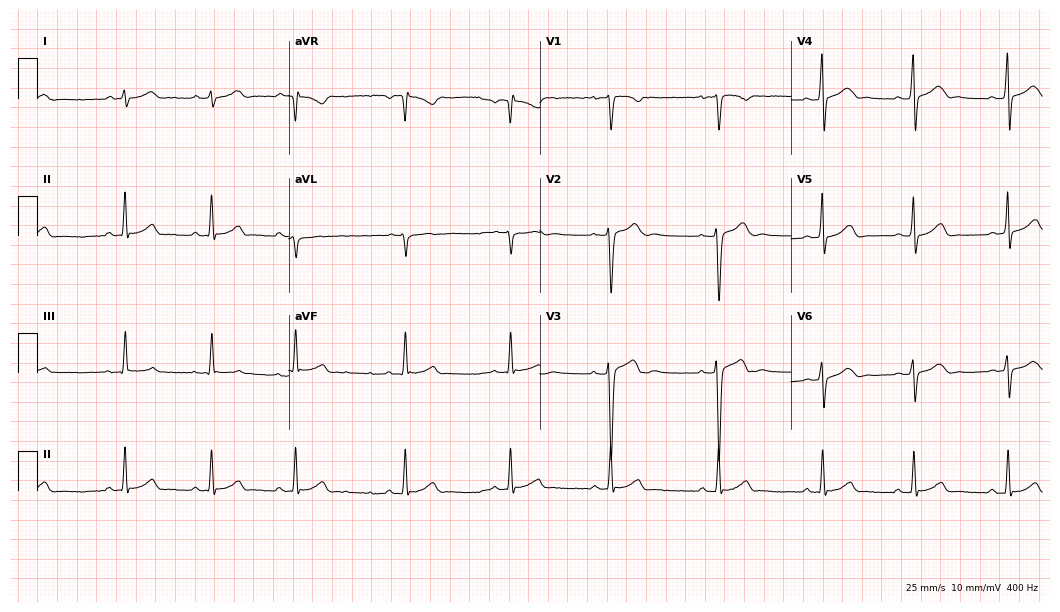
ECG (10.2-second recording at 400 Hz) — a male, 17 years old. Labelled as a normal ECG.